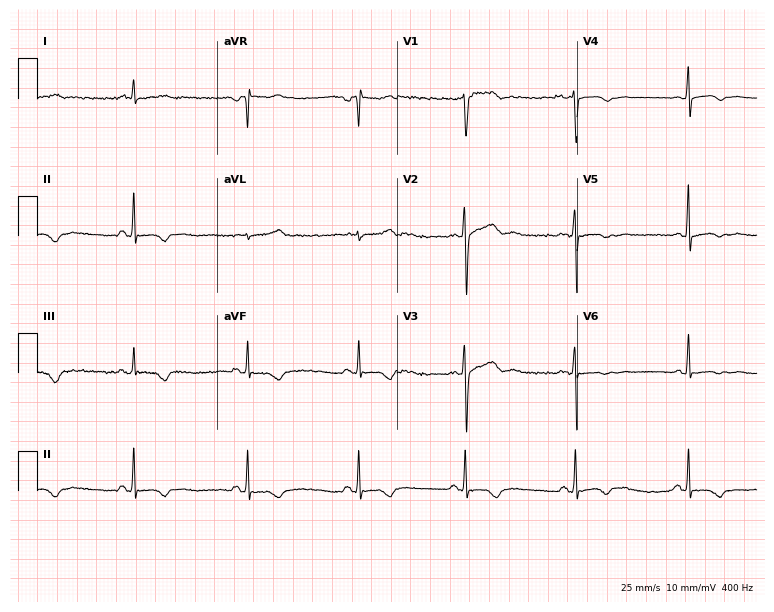
Resting 12-lead electrocardiogram (7.3-second recording at 400 Hz). Patient: a 48-year-old male. None of these six findings is recorded: first-degree AV block, right bundle branch block, left bundle branch block, sinus bradycardia, atrial fibrillation, sinus tachycardia.